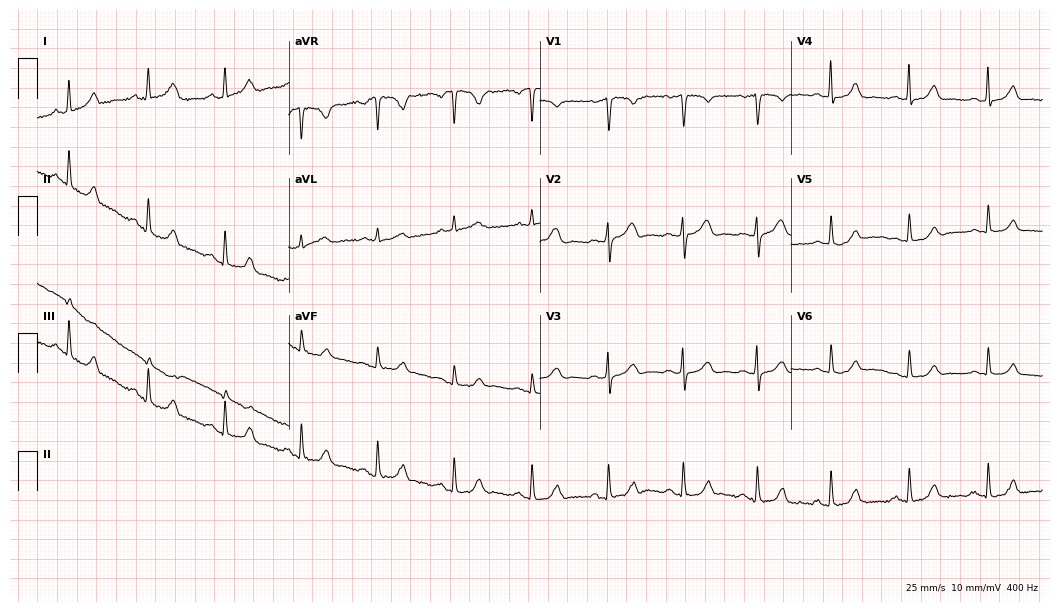
ECG (10.2-second recording at 400 Hz) — a female patient, 50 years old. Labelled as a normal ECG.